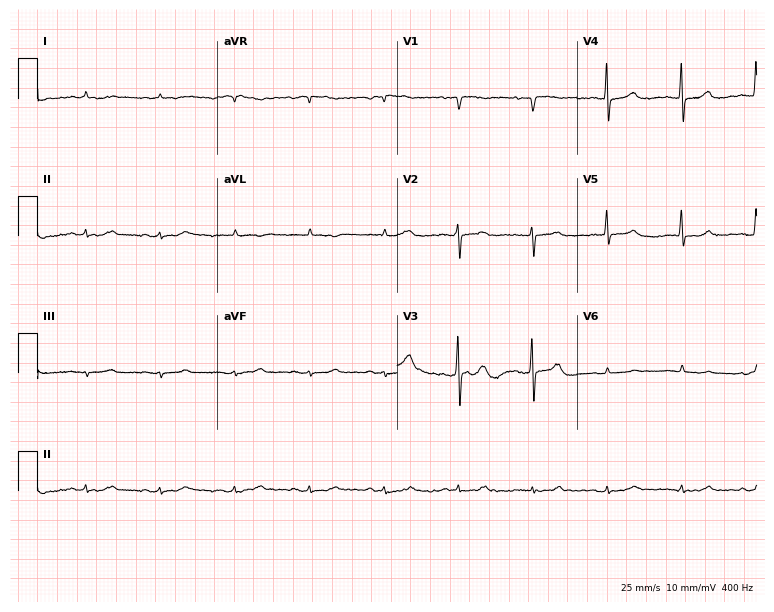
Resting 12-lead electrocardiogram. Patient: a 52-year-old male. None of these six findings is recorded: first-degree AV block, right bundle branch block, left bundle branch block, sinus bradycardia, atrial fibrillation, sinus tachycardia.